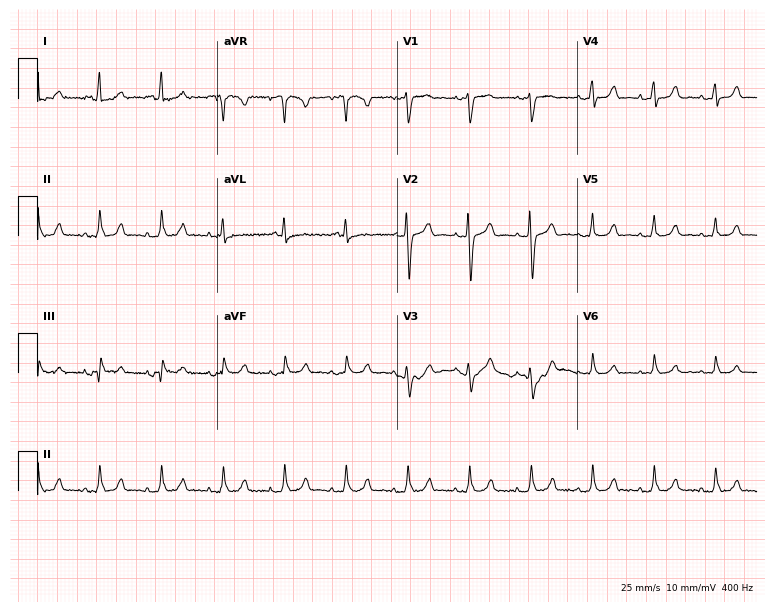
Resting 12-lead electrocardiogram (7.3-second recording at 400 Hz). Patient: a female, 67 years old. None of these six findings is recorded: first-degree AV block, right bundle branch block (RBBB), left bundle branch block (LBBB), sinus bradycardia, atrial fibrillation (AF), sinus tachycardia. Other findings, if any, are not listed.